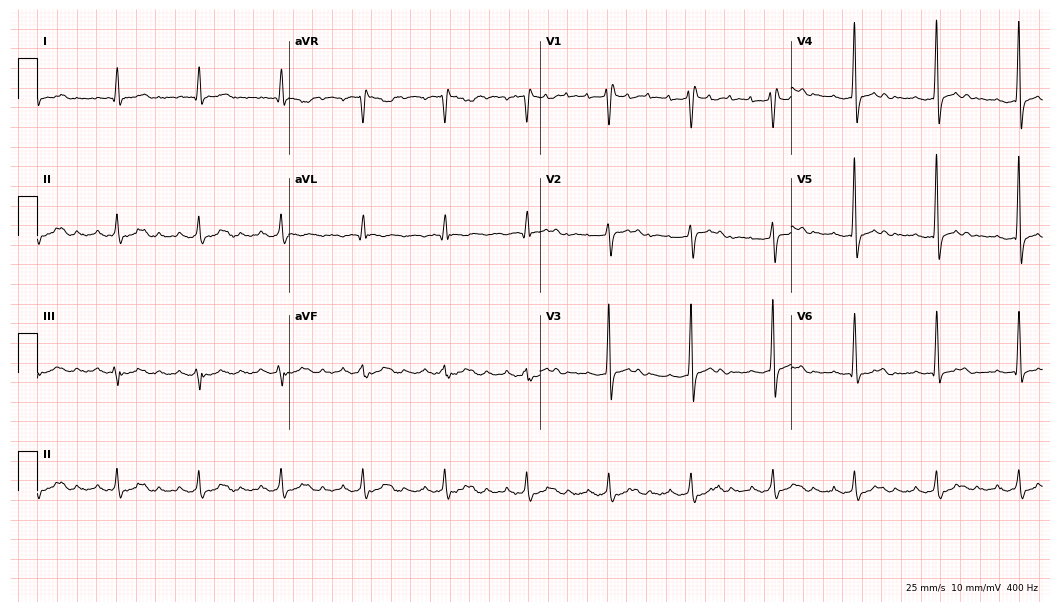
12-lead ECG from a 61-year-old male patient. Findings include right bundle branch block (RBBB).